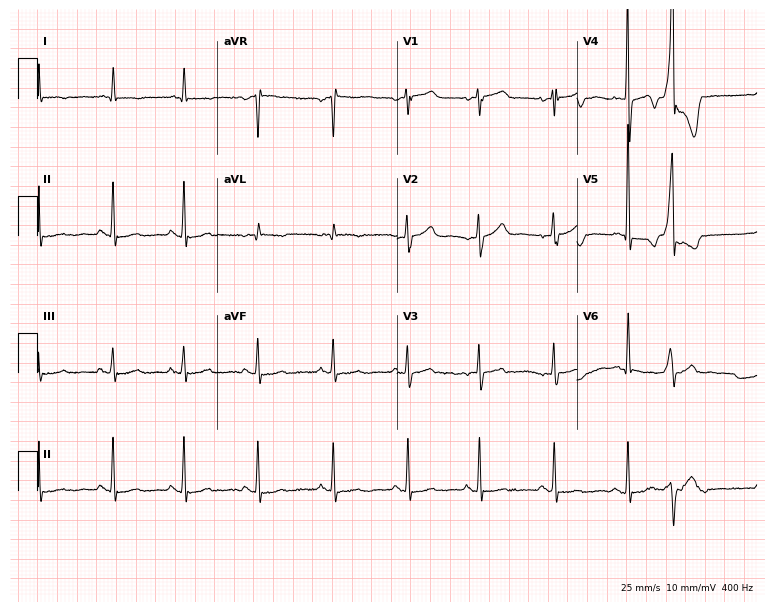
12-lead ECG (7.3-second recording at 400 Hz) from a 71-year-old male. Screened for six findings — first-degree AV block, right bundle branch block, left bundle branch block, sinus bradycardia, atrial fibrillation, sinus tachycardia — none is recorded. Only these six findings were labelled.